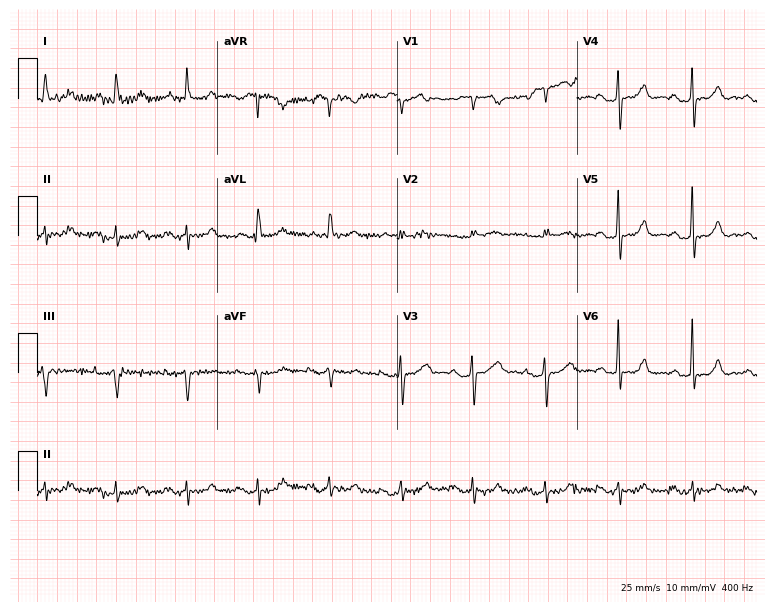
12-lead ECG from an 81-year-old woman. Screened for six findings — first-degree AV block, right bundle branch block, left bundle branch block, sinus bradycardia, atrial fibrillation, sinus tachycardia — none is recorded. Other findings, if any, are not listed.